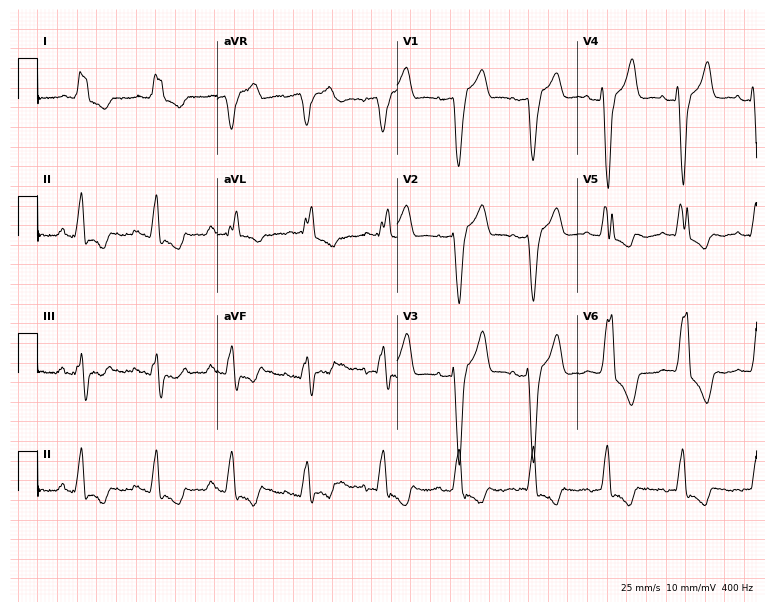
Electrocardiogram, a female, 77 years old. Interpretation includes left bundle branch block (LBBB).